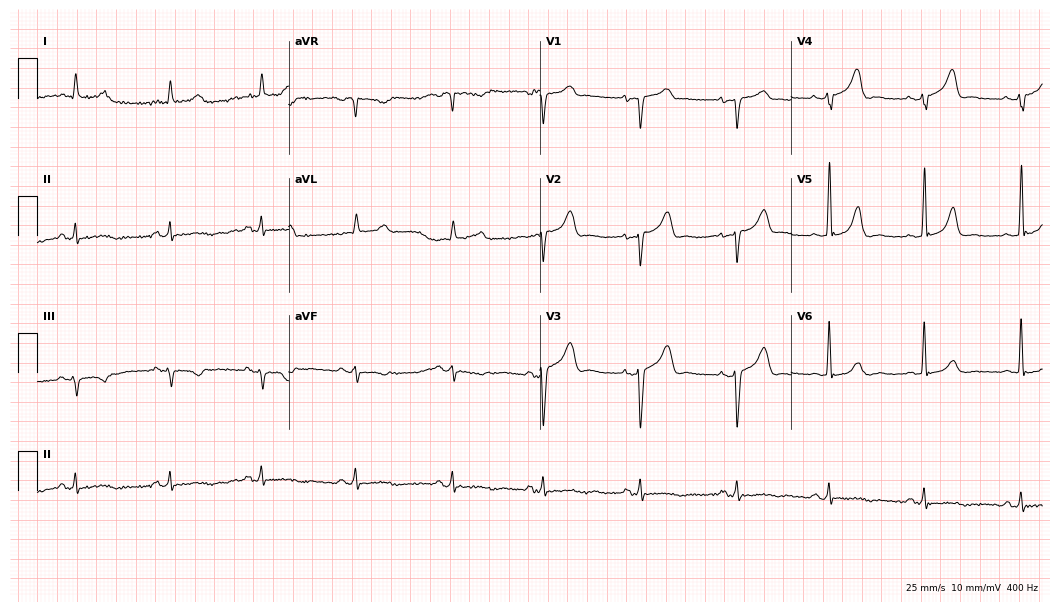
Standard 12-lead ECG recorded from a woman, 78 years old. None of these six findings is recorded: first-degree AV block, right bundle branch block, left bundle branch block, sinus bradycardia, atrial fibrillation, sinus tachycardia.